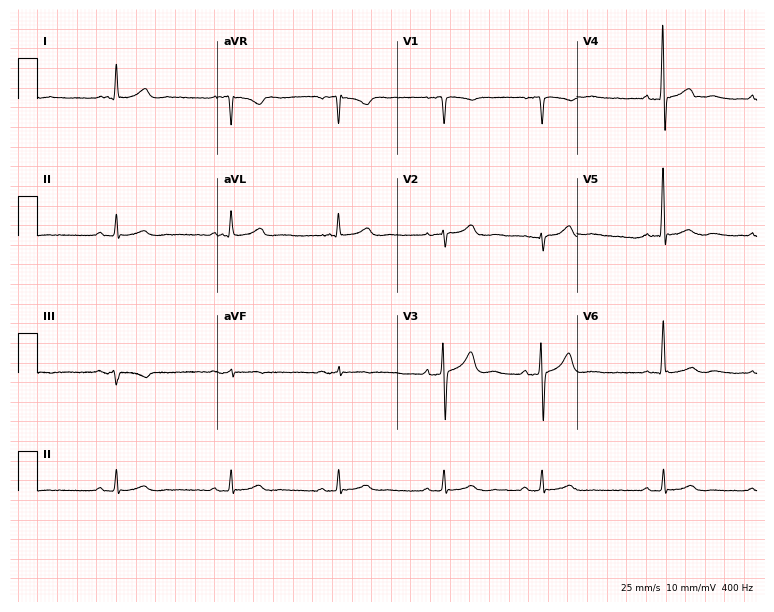
Resting 12-lead electrocardiogram. Patient: a 61-year-old male. Read as a normal ECG.